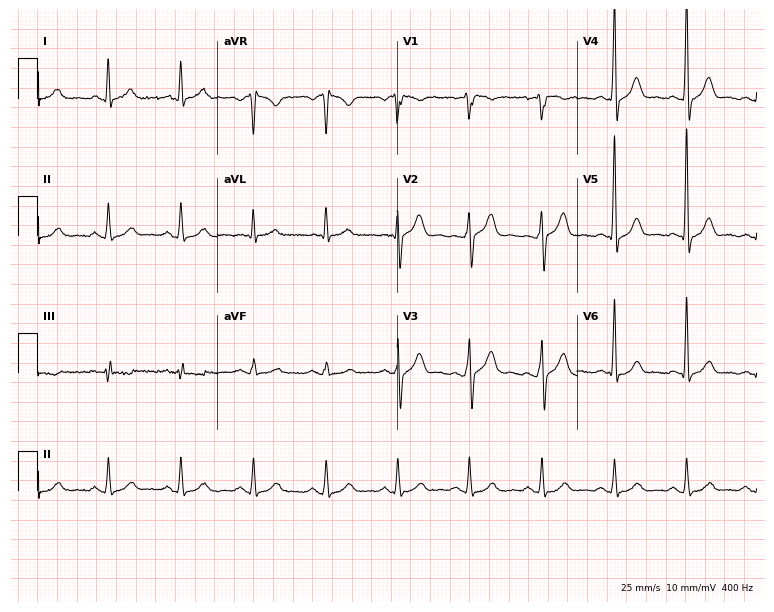
Standard 12-lead ECG recorded from a male, 58 years old. None of these six findings is recorded: first-degree AV block, right bundle branch block, left bundle branch block, sinus bradycardia, atrial fibrillation, sinus tachycardia.